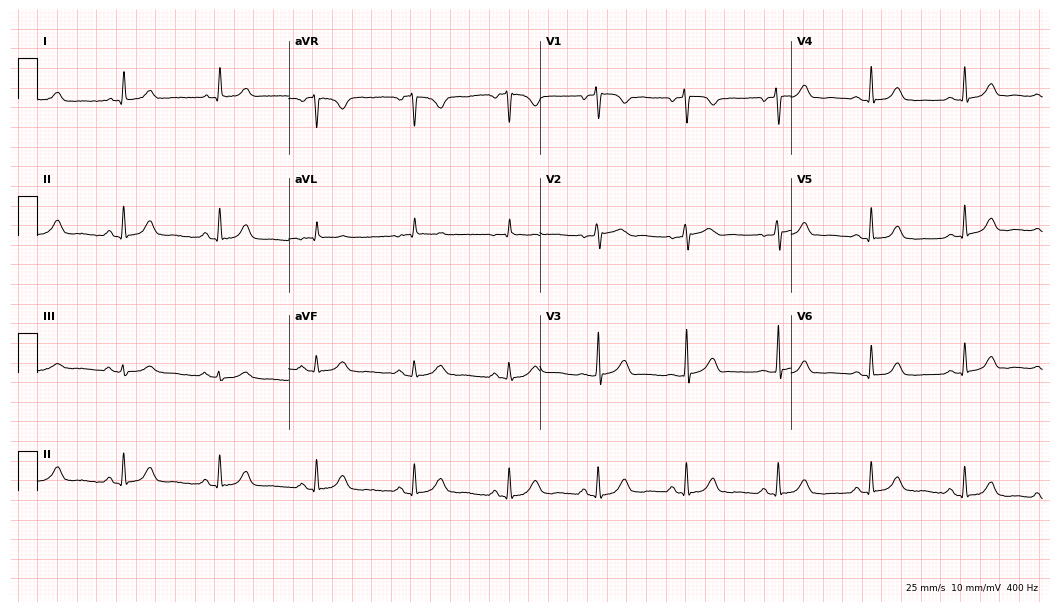
12-lead ECG from a 59-year-old female patient. Labelled as a normal ECG.